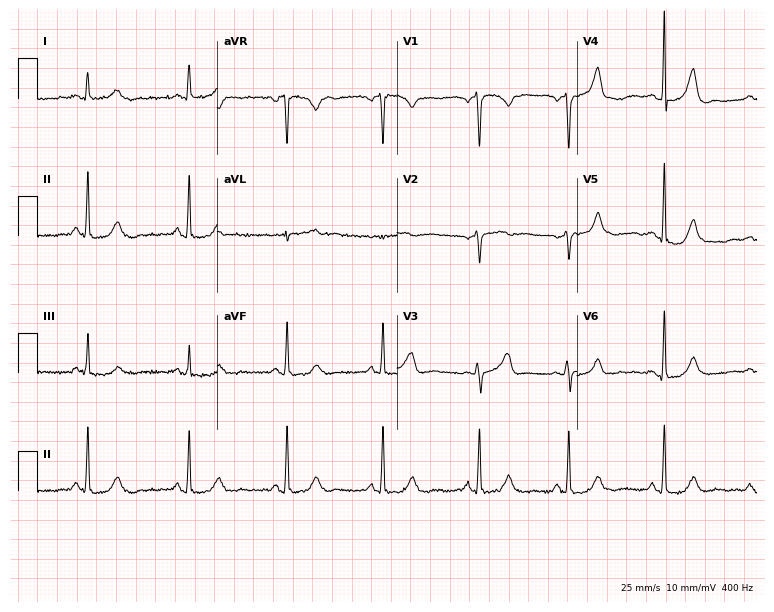
Resting 12-lead electrocardiogram (7.3-second recording at 400 Hz). Patient: a 36-year-old female. Read as a normal ECG.